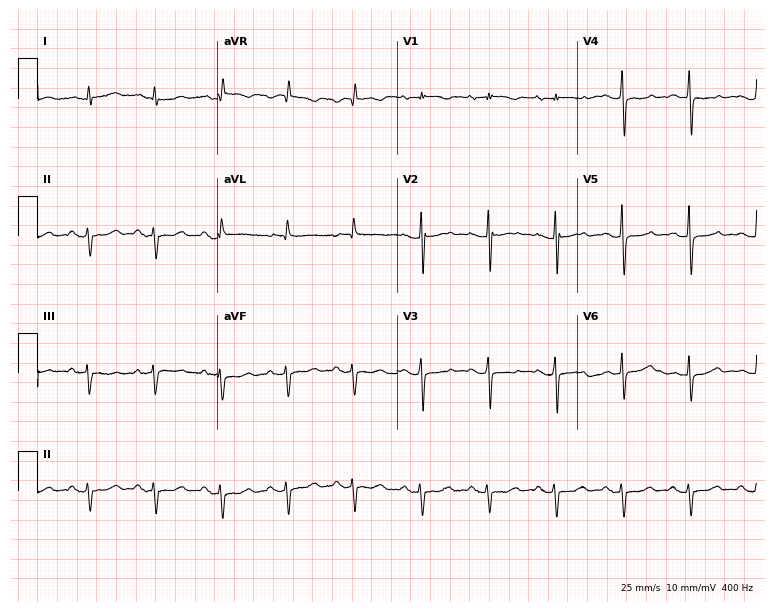
Standard 12-lead ECG recorded from an 81-year-old male (7.3-second recording at 400 Hz). None of these six findings is recorded: first-degree AV block, right bundle branch block, left bundle branch block, sinus bradycardia, atrial fibrillation, sinus tachycardia. Findings outside these six are not listed.